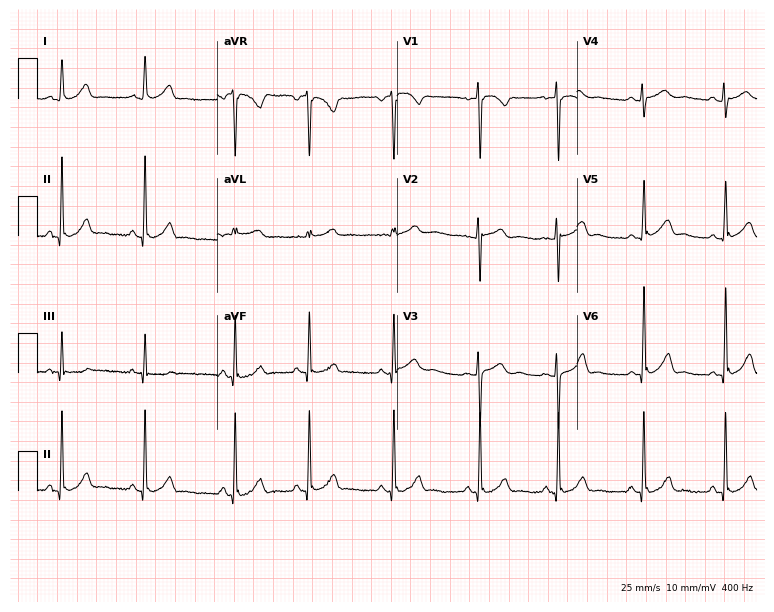
Standard 12-lead ECG recorded from a 19-year-old female (7.3-second recording at 400 Hz). None of these six findings is recorded: first-degree AV block, right bundle branch block, left bundle branch block, sinus bradycardia, atrial fibrillation, sinus tachycardia.